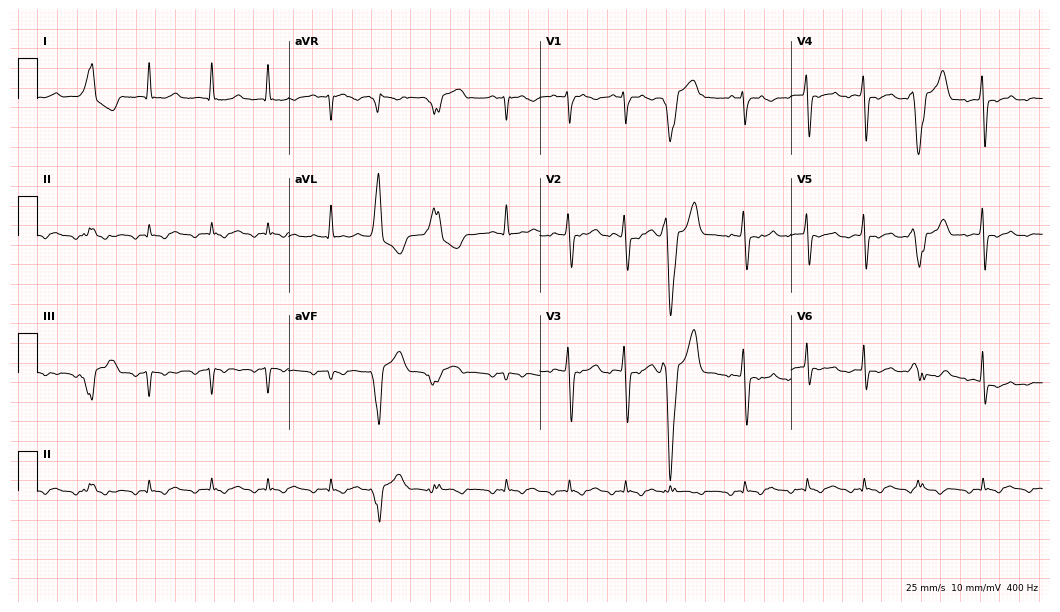
12-lead ECG (10.2-second recording at 400 Hz) from a 68-year-old male patient. Screened for six findings — first-degree AV block, right bundle branch block (RBBB), left bundle branch block (LBBB), sinus bradycardia, atrial fibrillation (AF), sinus tachycardia — none is recorded. Other findings, if any, are not listed.